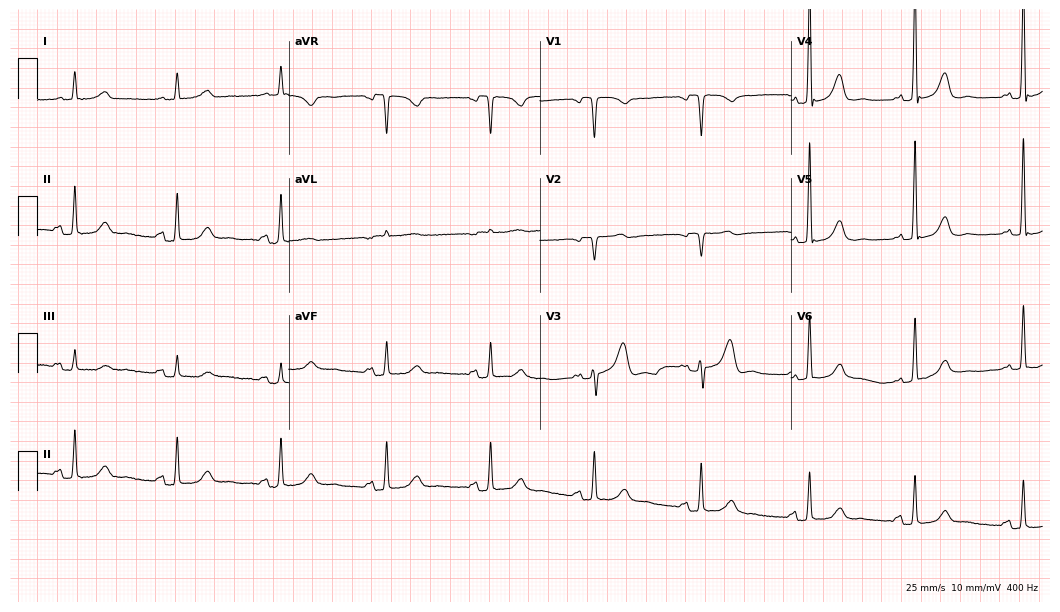
12-lead ECG (10.2-second recording at 400 Hz) from a female, 69 years old. Screened for six findings — first-degree AV block, right bundle branch block, left bundle branch block, sinus bradycardia, atrial fibrillation, sinus tachycardia — none is recorded.